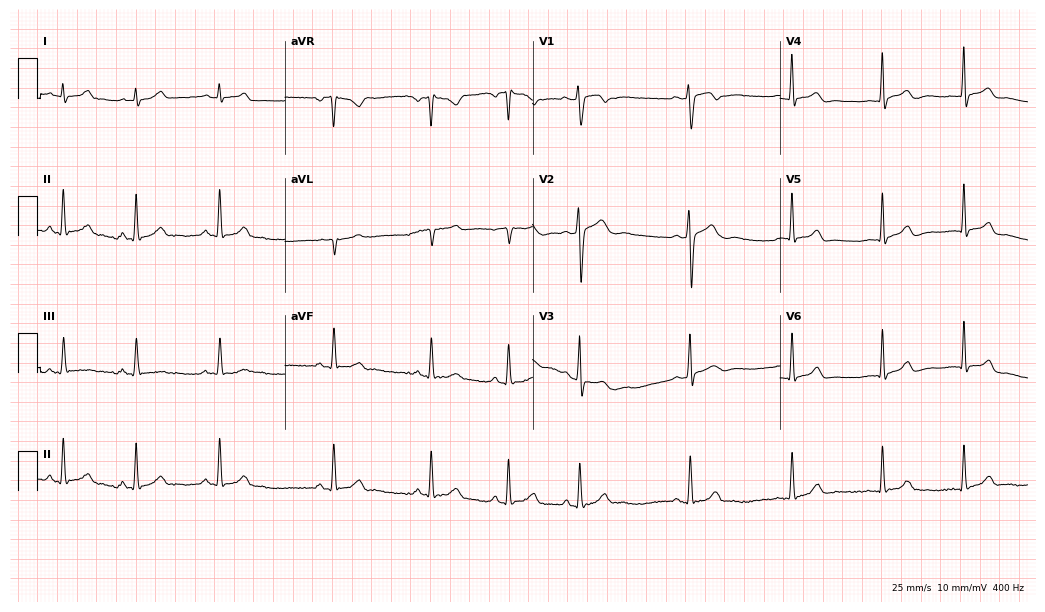
12-lead ECG from a woman, 23 years old. Recorded interpretation: within normal limits.